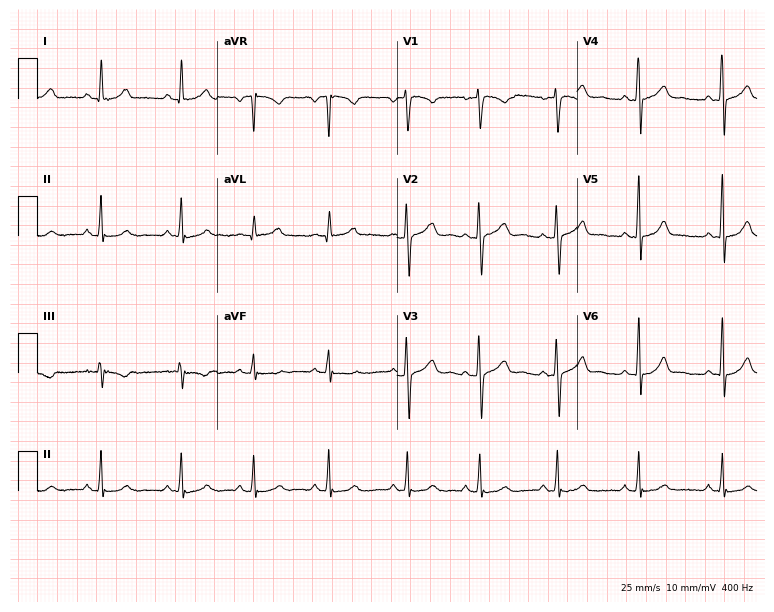
Standard 12-lead ECG recorded from a 22-year-old woman. Read as a normal ECG.